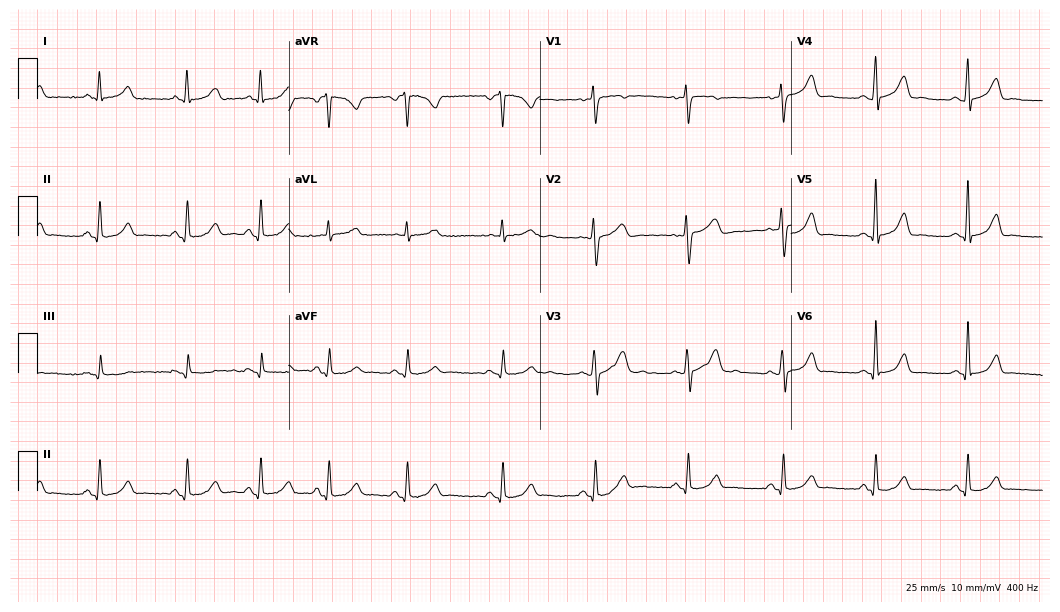
Resting 12-lead electrocardiogram (10.2-second recording at 400 Hz). Patient: a 31-year-old female. Read as a normal ECG.